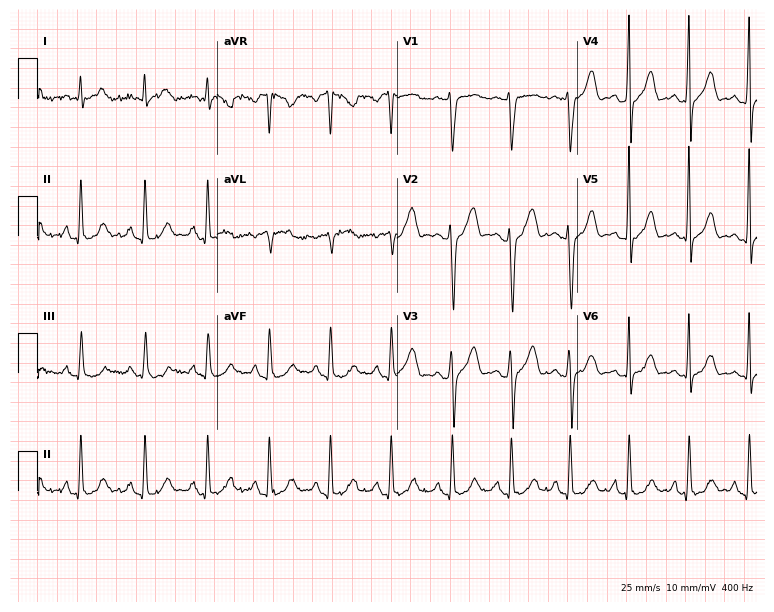
ECG — a man, 27 years old. Labelled as a normal ECG.